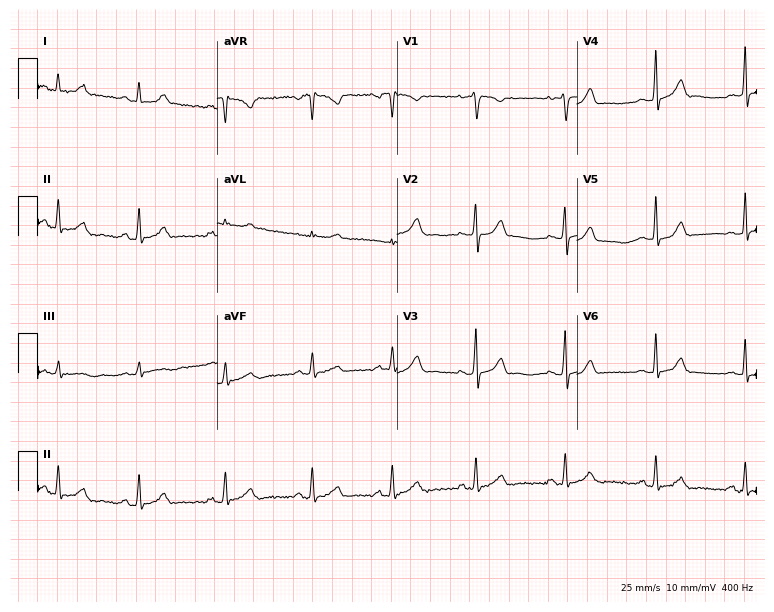
Standard 12-lead ECG recorded from a female patient, 41 years old (7.3-second recording at 400 Hz). None of these six findings is recorded: first-degree AV block, right bundle branch block (RBBB), left bundle branch block (LBBB), sinus bradycardia, atrial fibrillation (AF), sinus tachycardia.